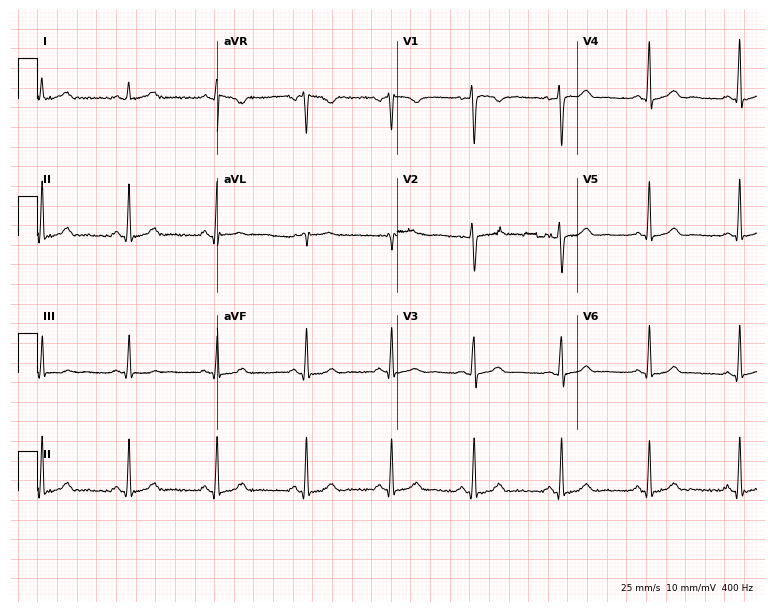
Electrocardiogram (7.3-second recording at 400 Hz), a 30-year-old woman. Overall reading on record: normal ECG.